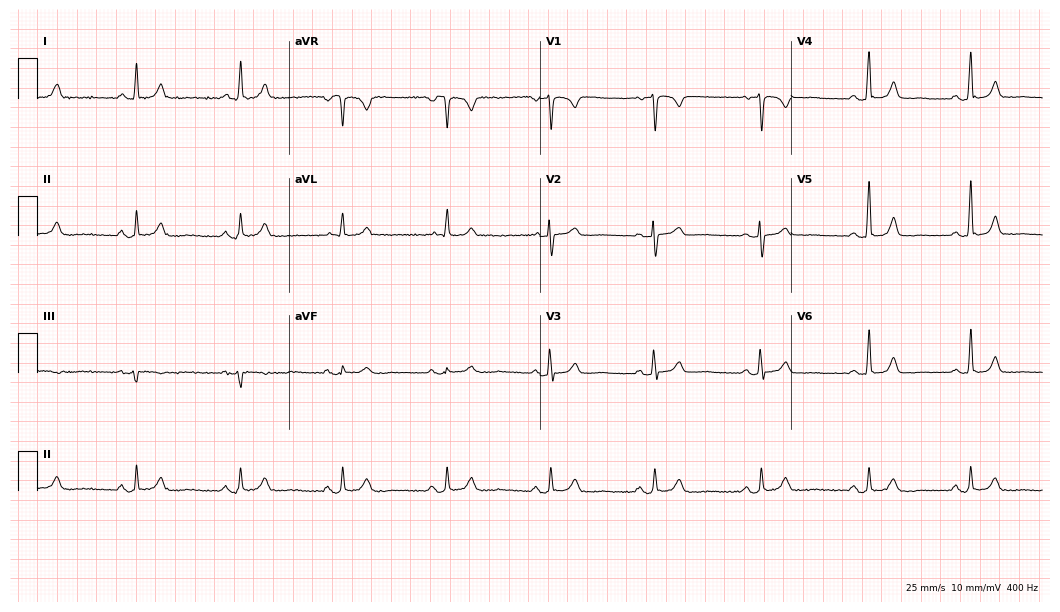
Resting 12-lead electrocardiogram (10.2-second recording at 400 Hz). Patient: a 60-year-old female. Read as a normal ECG.